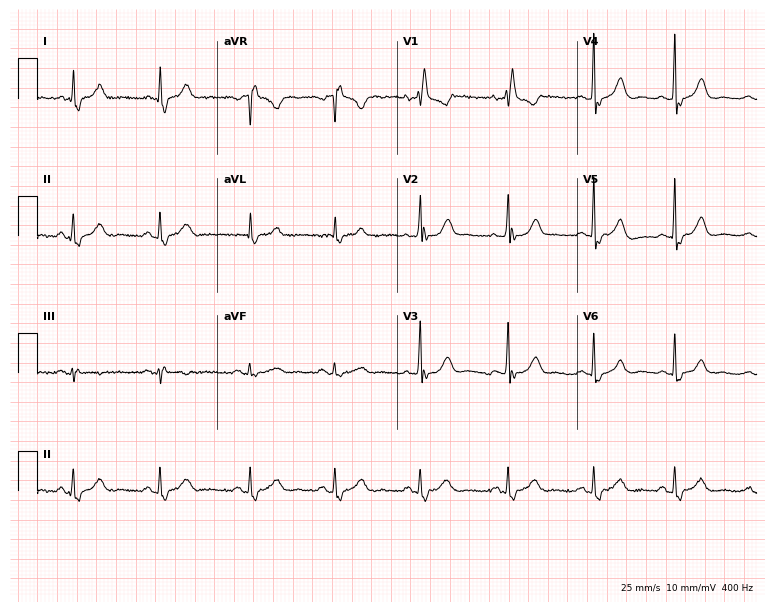
Resting 12-lead electrocardiogram (7.3-second recording at 400 Hz). Patient: a female, 55 years old. None of these six findings is recorded: first-degree AV block, right bundle branch block, left bundle branch block, sinus bradycardia, atrial fibrillation, sinus tachycardia. Other findings, if any, are not listed.